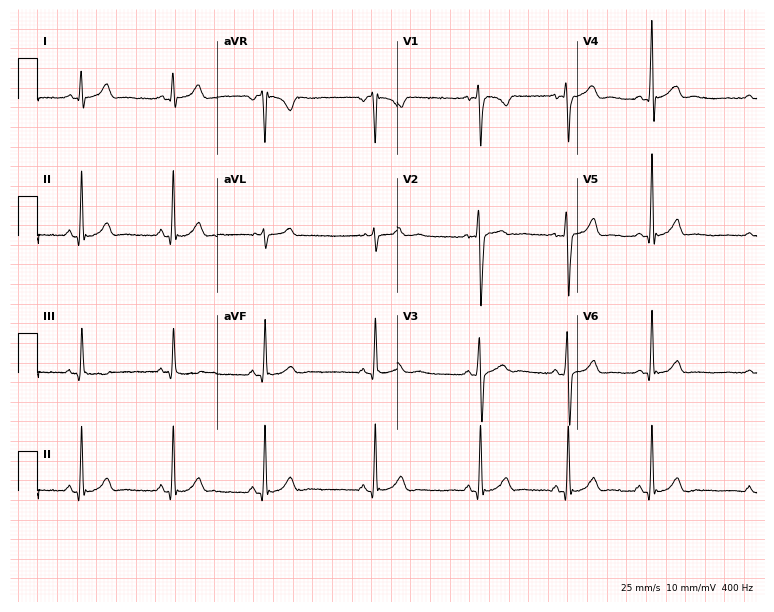
12-lead ECG from a 17-year-old man (7.3-second recording at 400 Hz). Recorded interpretation: within normal limits.